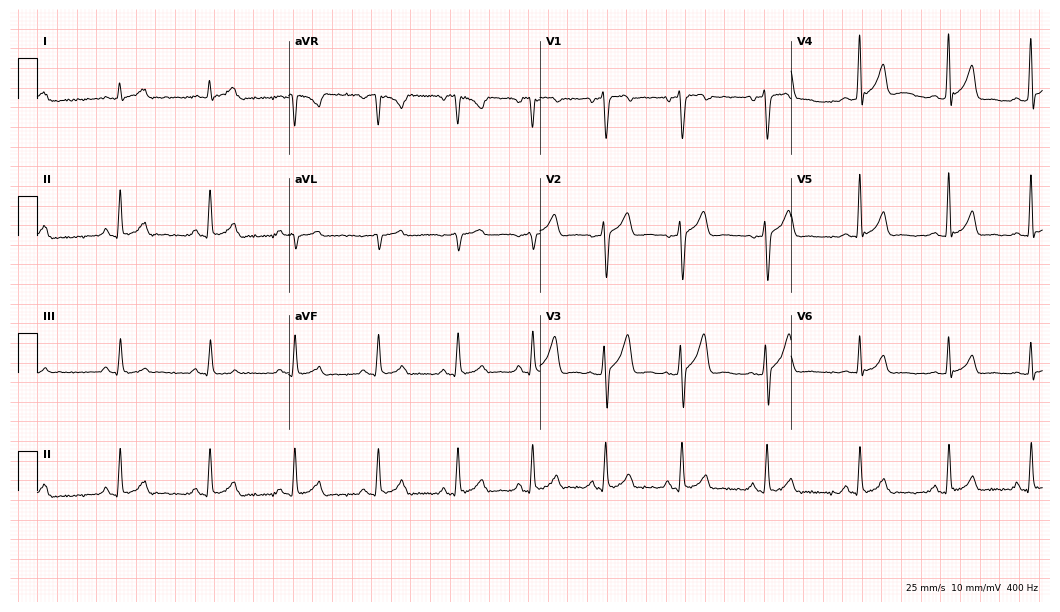
ECG — a female patient, 20 years old. Labelled as a normal ECG.